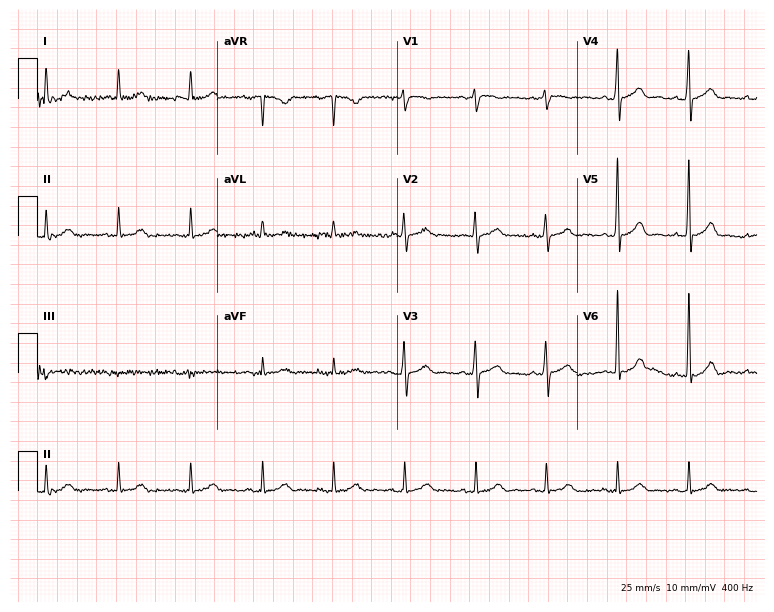
Standard 12-lead ECG recorded from a 69-year-old male (7.3-second recording at 400 Hz). None of these six findings is recorded: first-degree AV block, right bundle branch block, left bundle branch block, sinus bradycardia, atrial fibrillation, sinus tachycardia. Only these six findings were labelled.